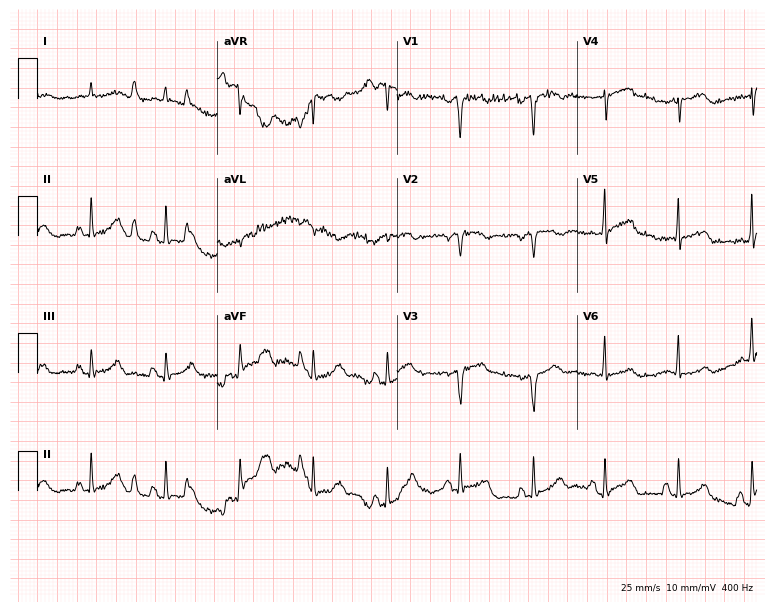
12-lead ECG (7.3-second recording at 400 Hz) from a 72-year-old man. Labelled as a normal ECG.